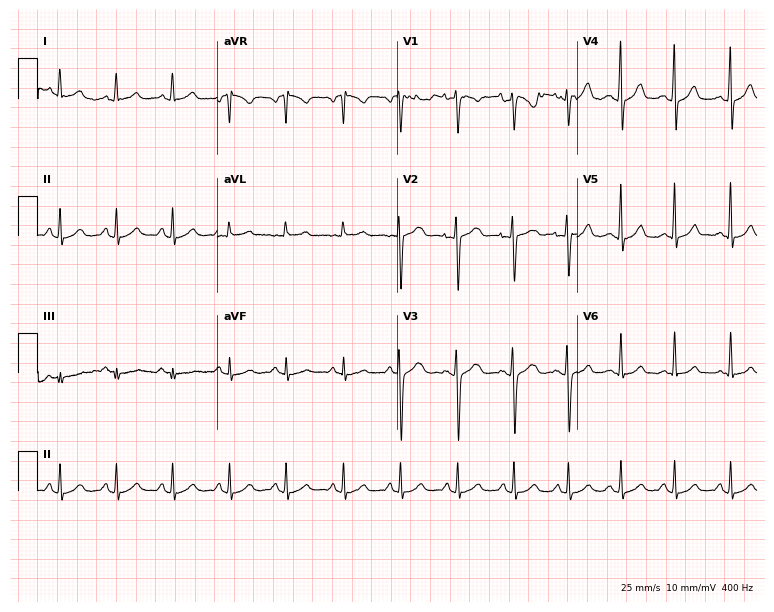
Standard 12-lead ECG recorded from a female patient, 17 years old (7.3-second recording at 400 Hz). The tracing shows sinus tachycardia (a sinus rate of 100 beats per minute or more).